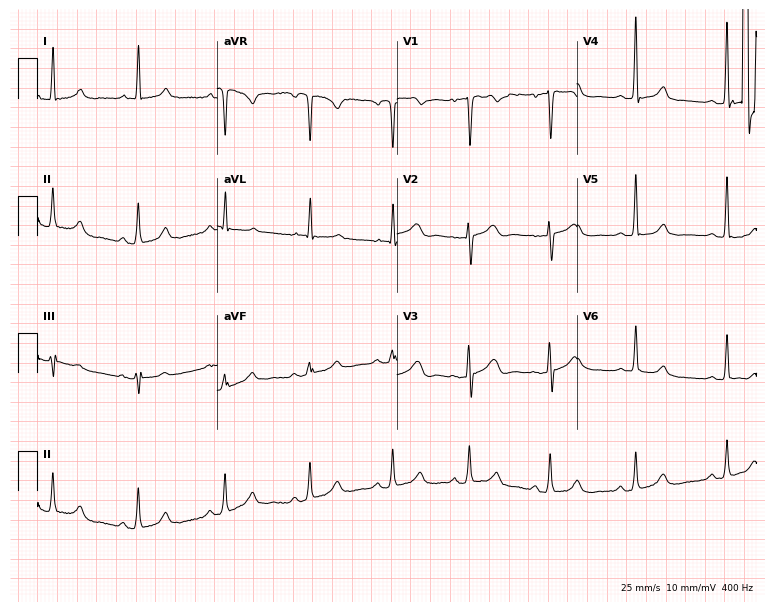
Resting 12-lead electrocardiogram (7.3-second recording at 400 Hz). Patient: a 71-year-old female. None of these six findings is recorded: first-degree AV block, right bundle branch block, left bundle branch block, sinus bradycardia, atrial fibrillation, sinus tachycardia.